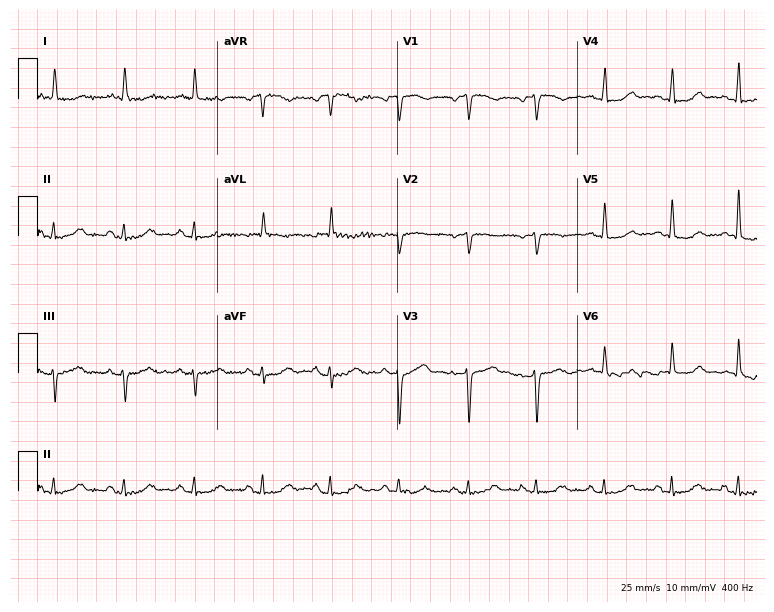
12-lead ECG from an 81-year-old woman. Screened for six findings — first-degree AV block, right bundle branch block (RBBB), left bundle branch block (LBBB), sinus bradycardia, atrial fibrillation (AF), sinus tachycardia — none is recorded.